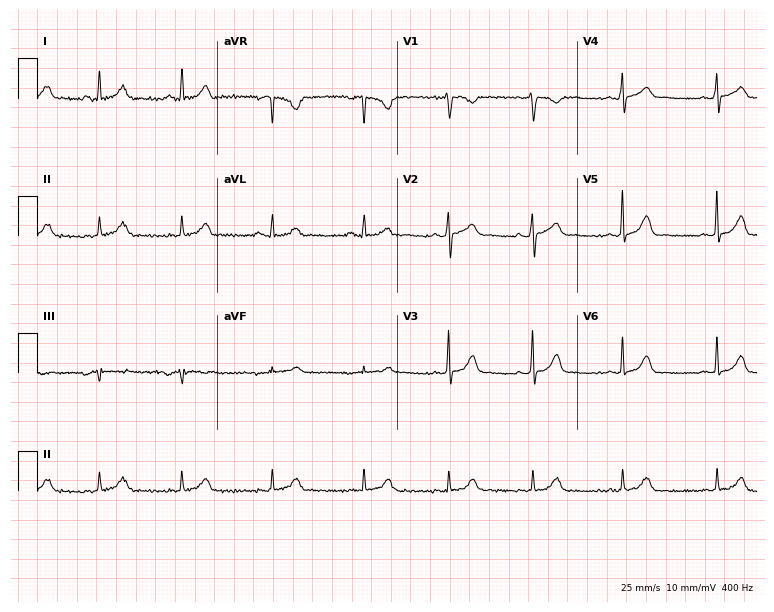
Standard 12-lead ECG recorded from a female, 34 years old (7.3-second recording at 400 Hz). Read as a normal ECG.